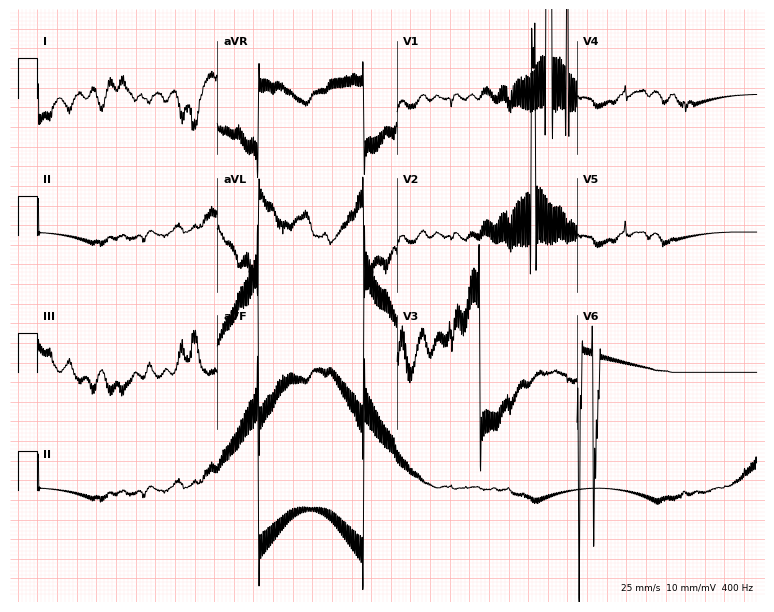
12-lead ECG from a 37-year-old woman. No first-degree AV block, right bundle branch block, left bundle branch block, sinus bradycardia, atrial fibrillation or sinus tachycardia recorded for this tracing.